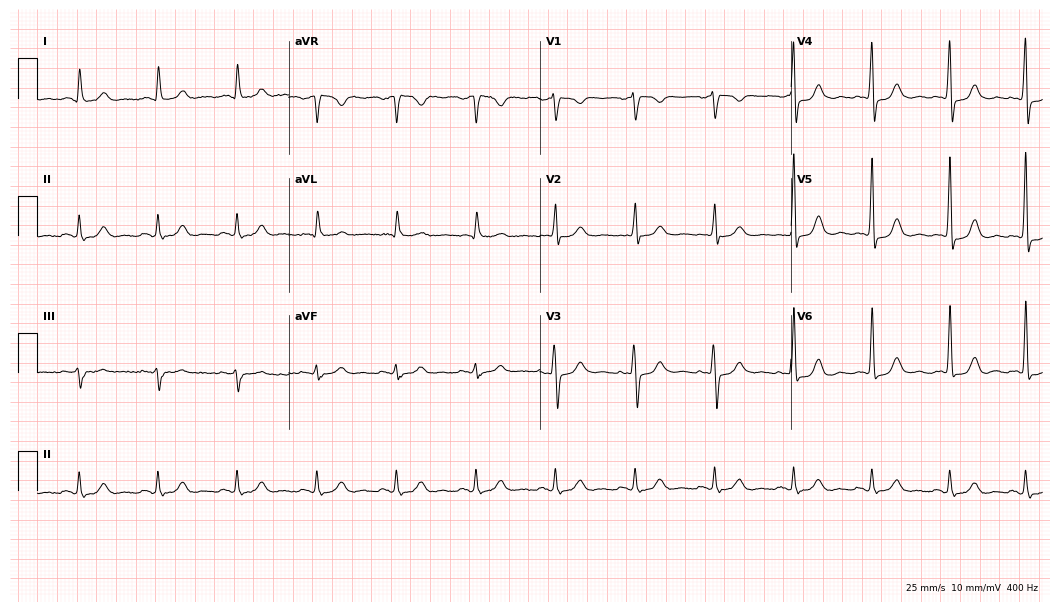
ECG — a female patient, 65 years old. Labelled as a normal ECG.